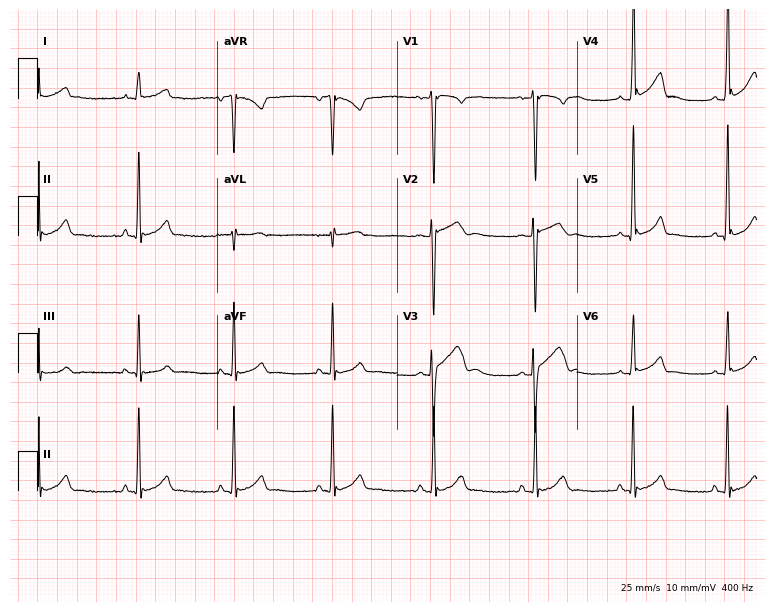
12-lead ECG from a 17-year-old man (7.3-second recording at 400 Hz). No first-degree AV block, right bundle branch block, left bundle branch block, sinus bradycardia, atrial fibrillation or sinus tachycardia recorded for this tracing. Other findings, if any, are not listed.